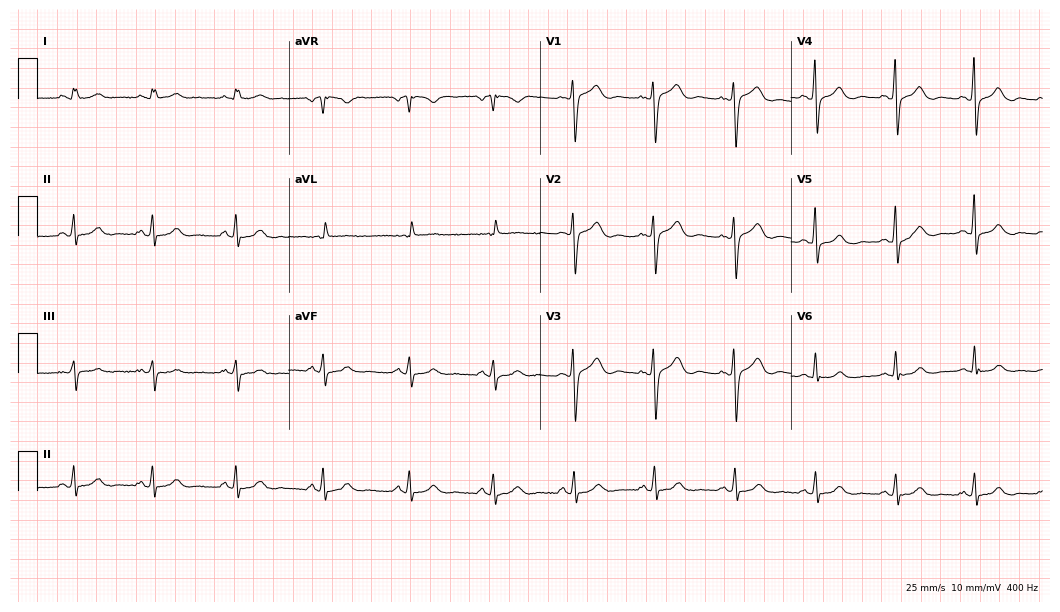
Standard 12-lead ECG recorded from a 59-year-old female patient. Read as a normal ECG.